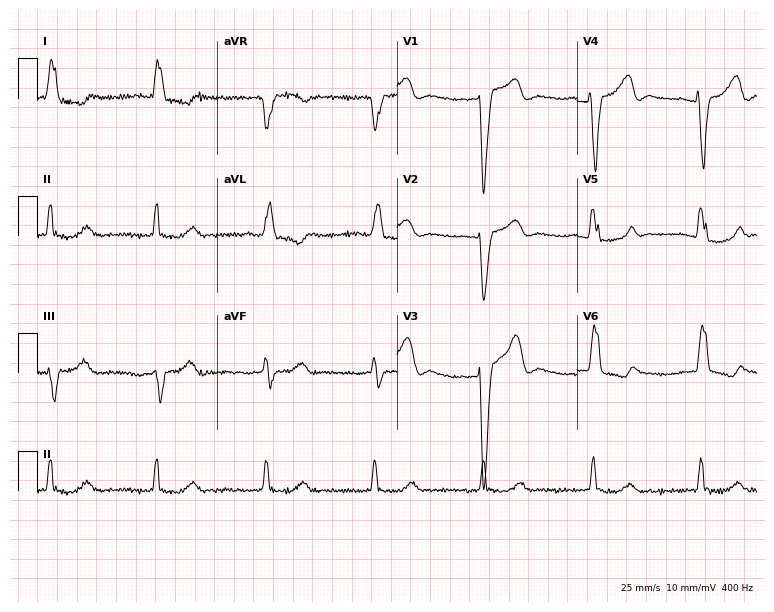
Standard 12-lead ECG recorded from a woman, 76 years old. The tracing shows left bundle branch block.